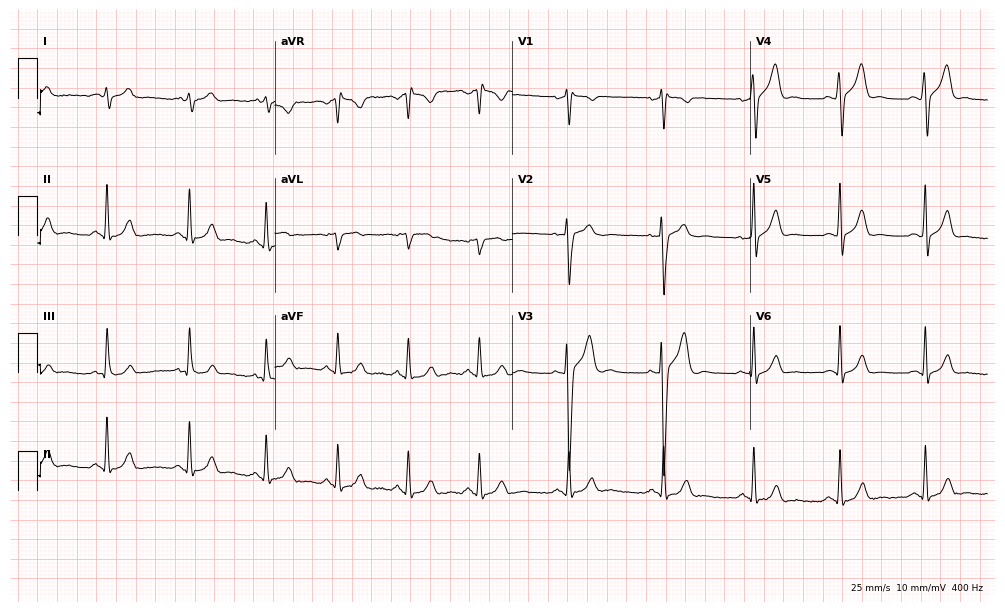
Electrocardiogram (9.7-second recording at 400 Hz), a male, 20 years old. Overall reading on record: normal ECG.